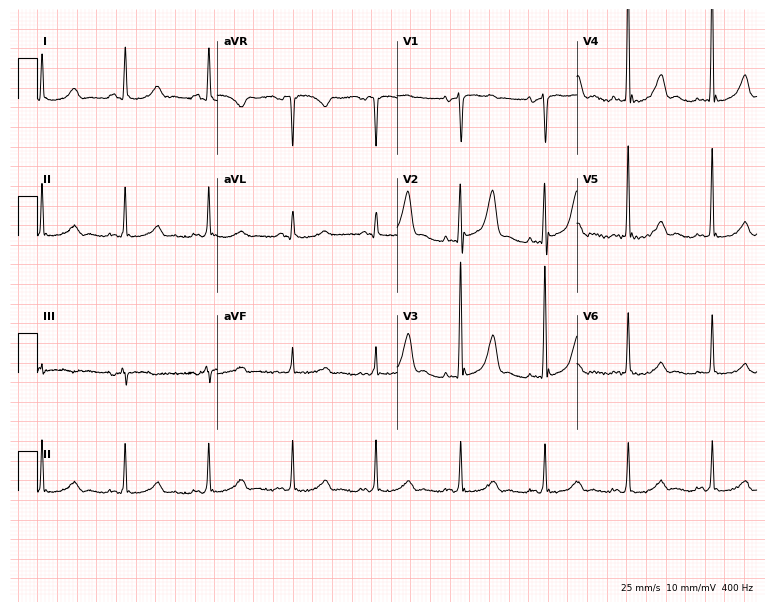
Resting 12-lead electrocardiogram. Patient: a 54-year-old male. None of these six findings is recorded: first-degree AV block, right bundle branch block, left bundle branch block, sinus bradycardia, atrial fibrillation, sinus tachycardia.